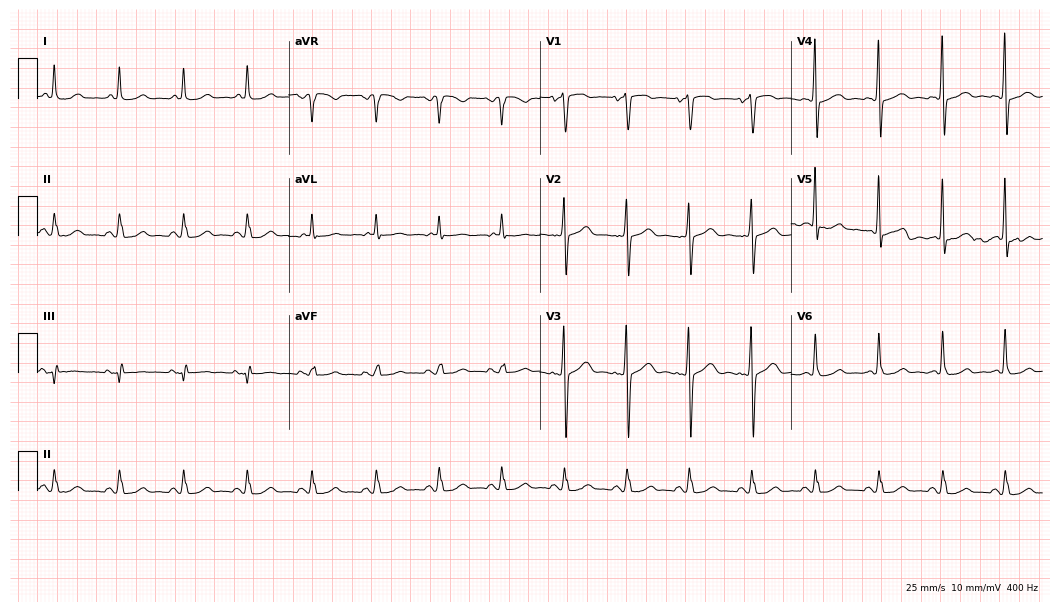
Standard 12-lead ECG recorded from a woman, 71 years old. Read as a normal ECG.